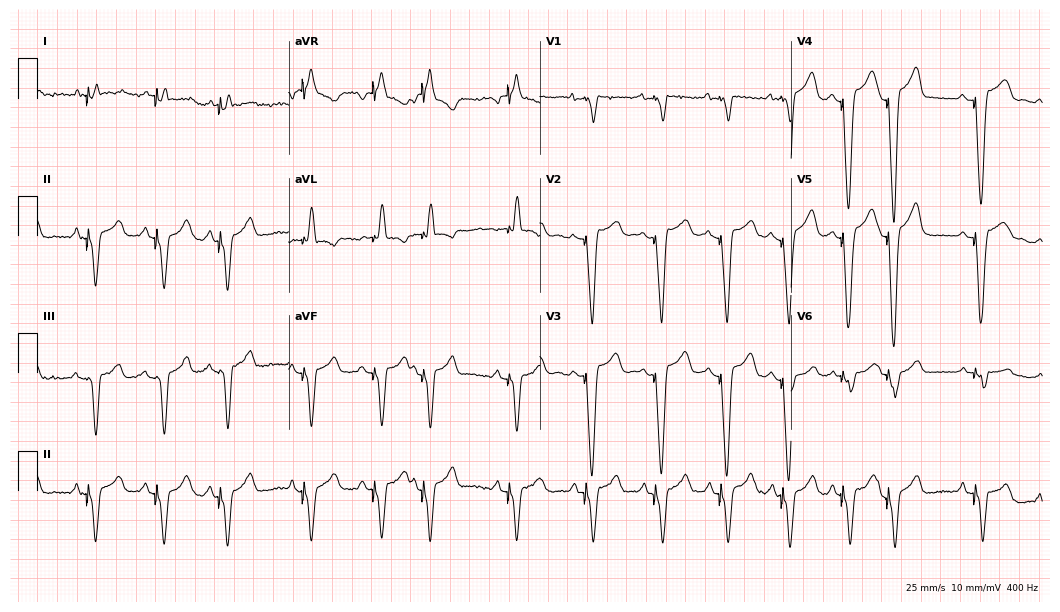
12-lead ECG (10.2-second recording at 400 Hz) from a 75-year-old female patient. Screened for six findings — first-degree AV block, right bundle branch block, left bundle branch block, sinus bradycardia, atrial fibrillation, sinus tachycardia — none is recorded. Only these six findings were labelled.